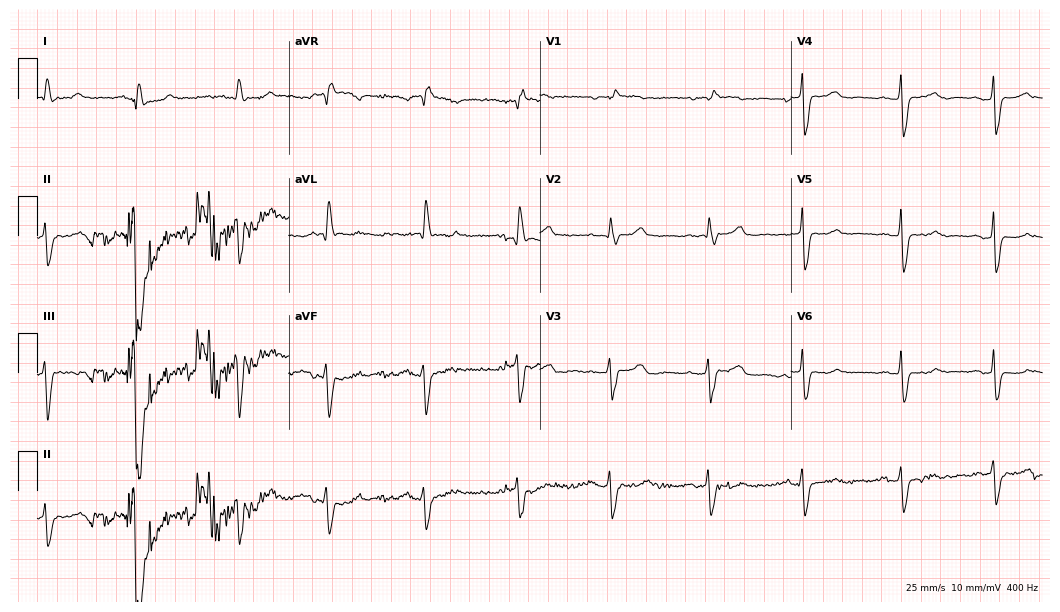
Resting 12-lead electrocardiogram. Patient: a 70-year-old female. None of these six findings is recorded: first-degree AV block, right bundle branch block, left bundle branch block, sinus bradycardia, atrial fibrillation, sinus tachycardia.